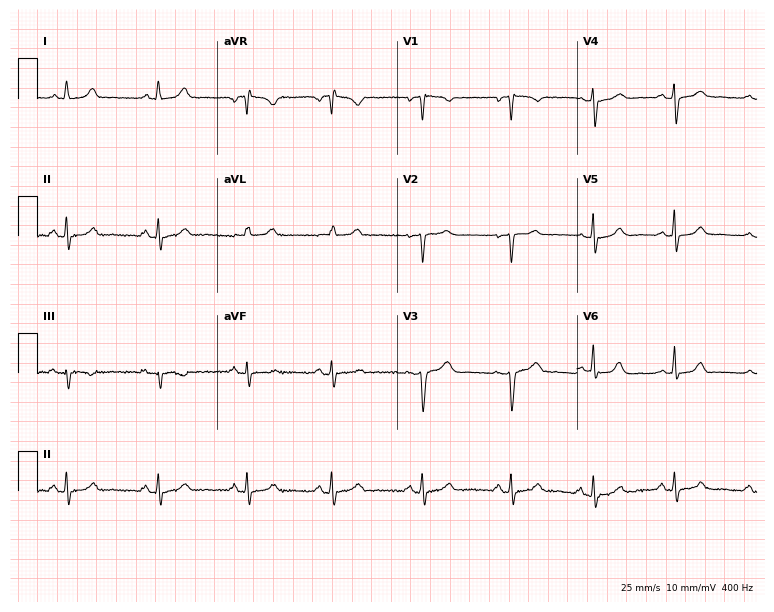
12-lead ECG from a female, 40 years old. Recorded interpretation: within normal limits.